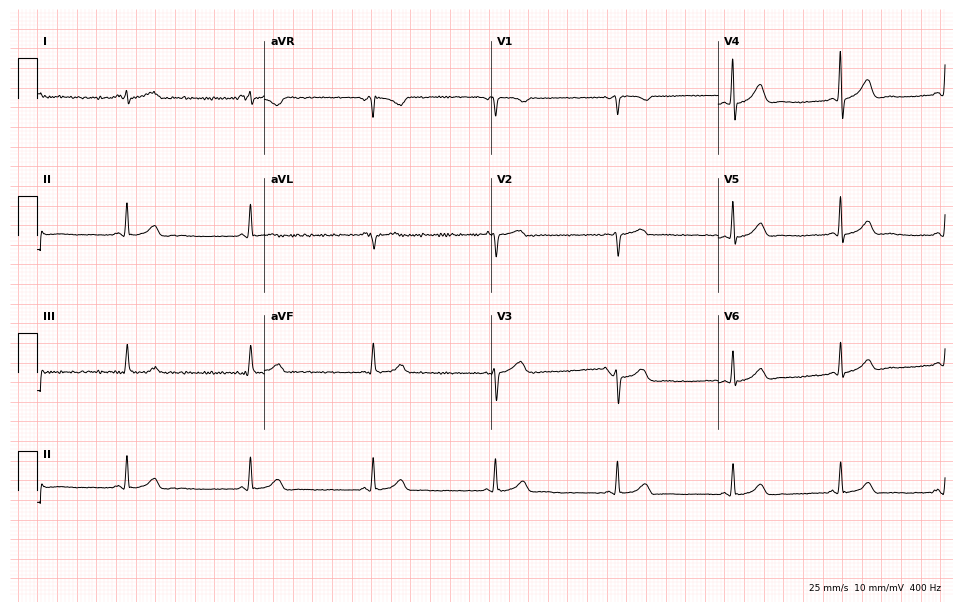
12-lead ECG from a 49-year-old female patient. Screened for six findings — first-degree AV block, right bundle branch block, left bundle branch block, sinus bradycardia, atrial fibrillation, sinus tachycardia — none is recorded. Only these six findings were labelled.